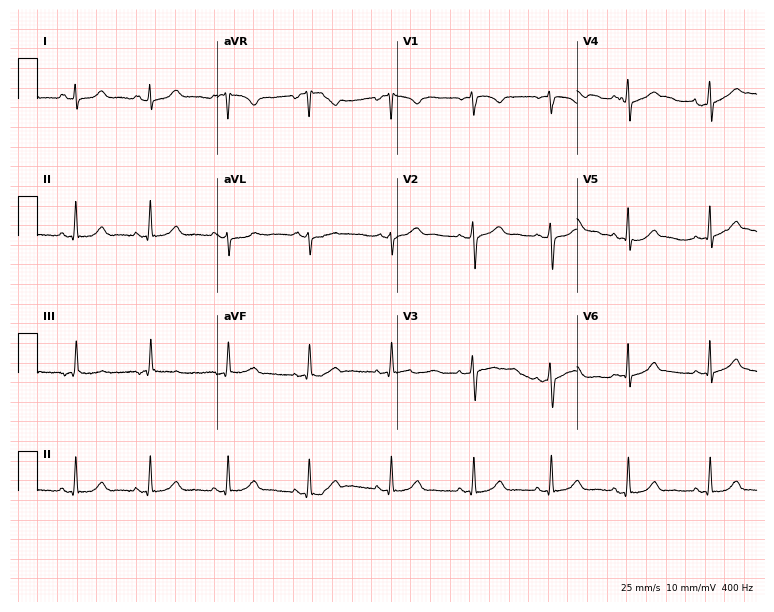
Resting 12-lead electrocardiogram. Patient: a 24-year-old female. Read as a normal ECG.